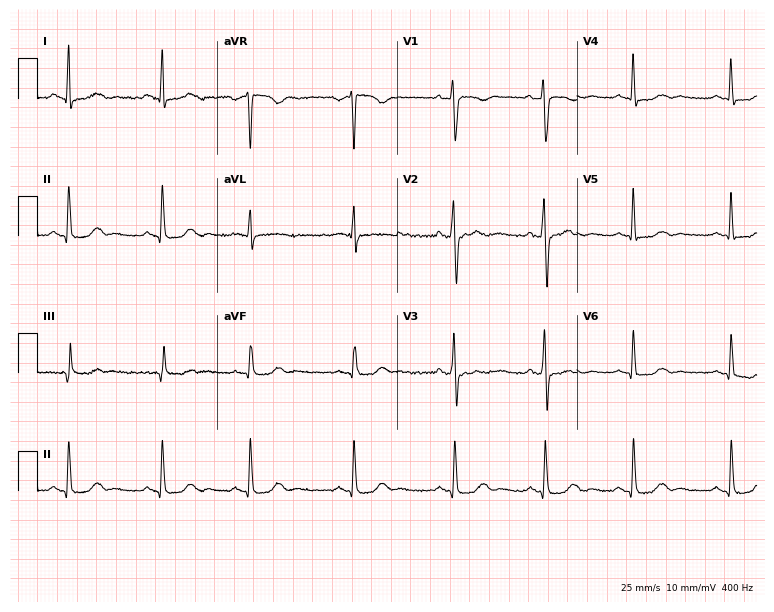
Electrocardiogram (7.3-second recording at 400 Hz), a 39-year-old woman. Of the six screened findings (first-degree AV block, right bundle branch block, left bundle branch block, sinus bradycardia, atrial fibrillation, sinus tachycardia), none is recorded. Findings outside these six are not listed.